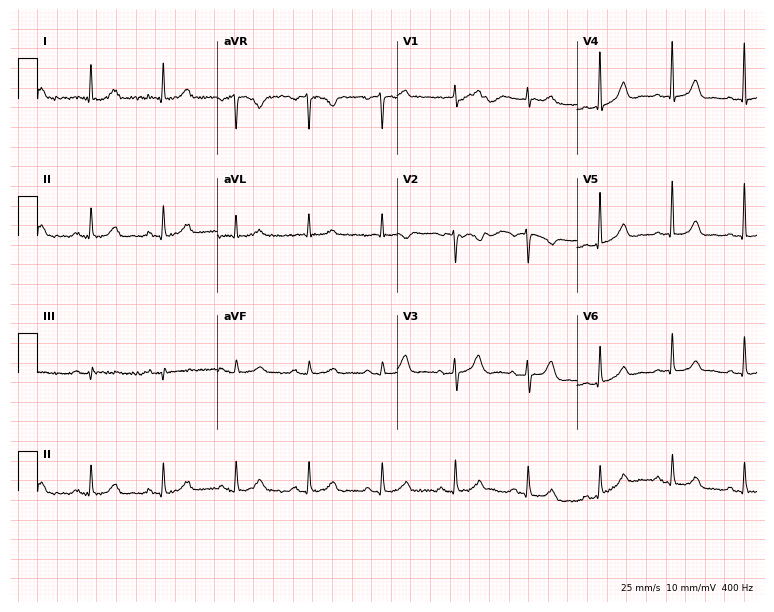
ECG — a 79-year-old female patient. Labelled as a normal ECG.